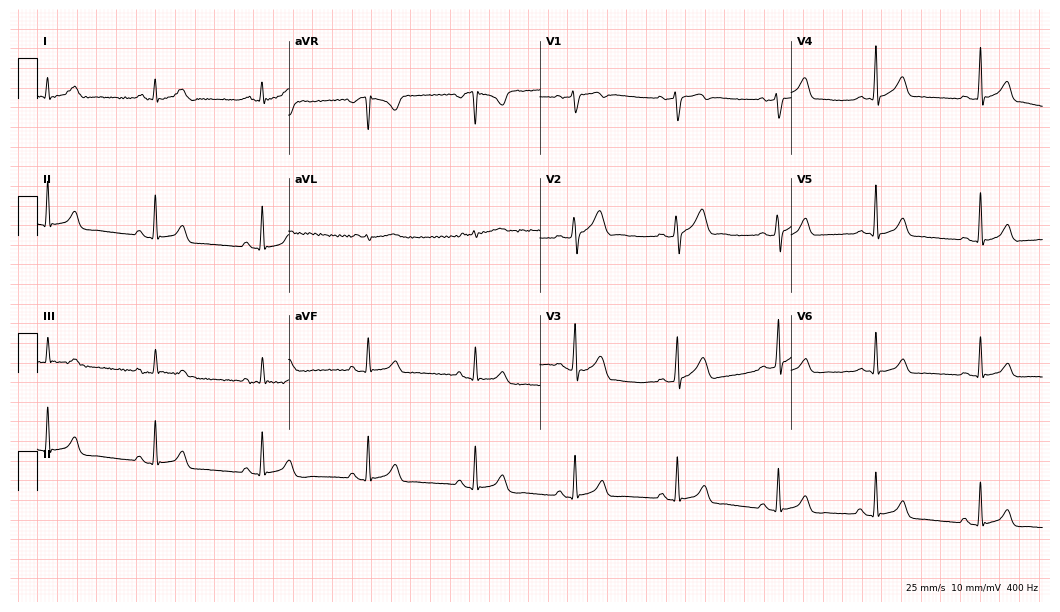
Standard 12-lead ECG recorded from a 27-year-old male patient. Read as a normal ECG.